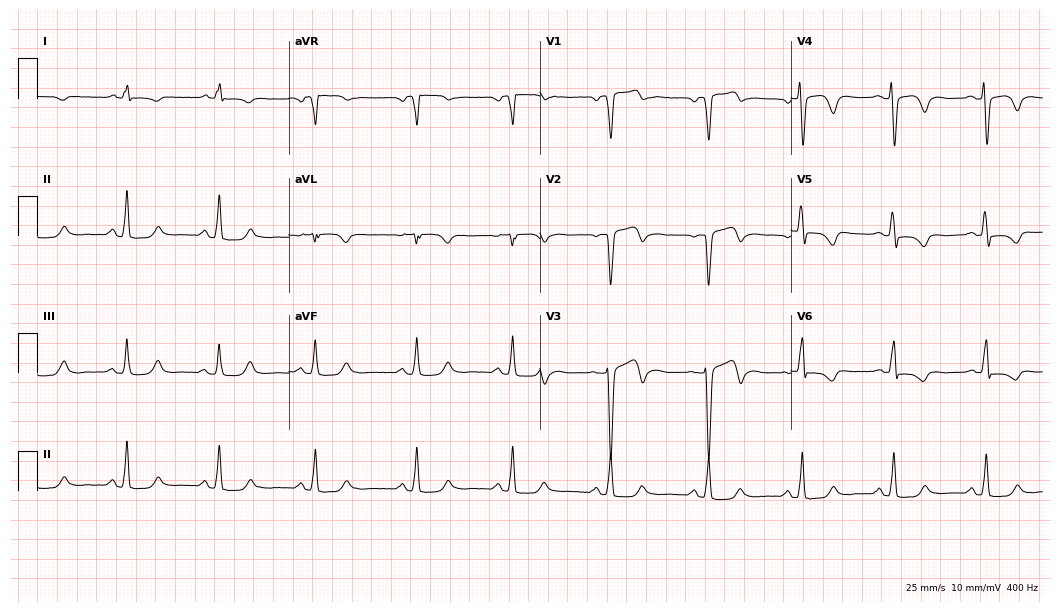
12-lead ECG from a 56-year-old male (10.2-second recording at 400 Hz). No first-degree AV block, right bundle branch block (RBBB), left bundle branch block (LBBB), sinus bradycardia, atrial fibrillation (AF) or sinus tachycardia recorded for this tracing. Findings outside these six are not listed.